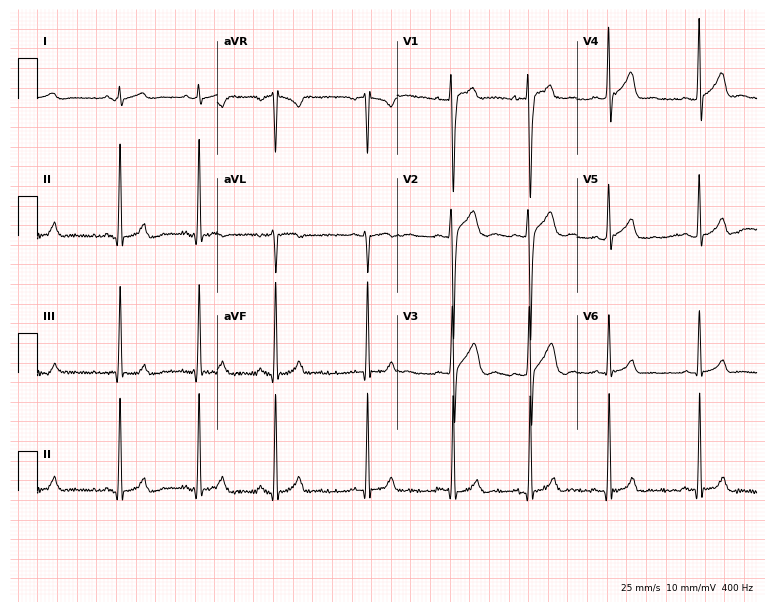
Electrocardiogram (7.3-second recording at 400 Hz), a 21-year-old male. Overall reading on record: normal ECG.